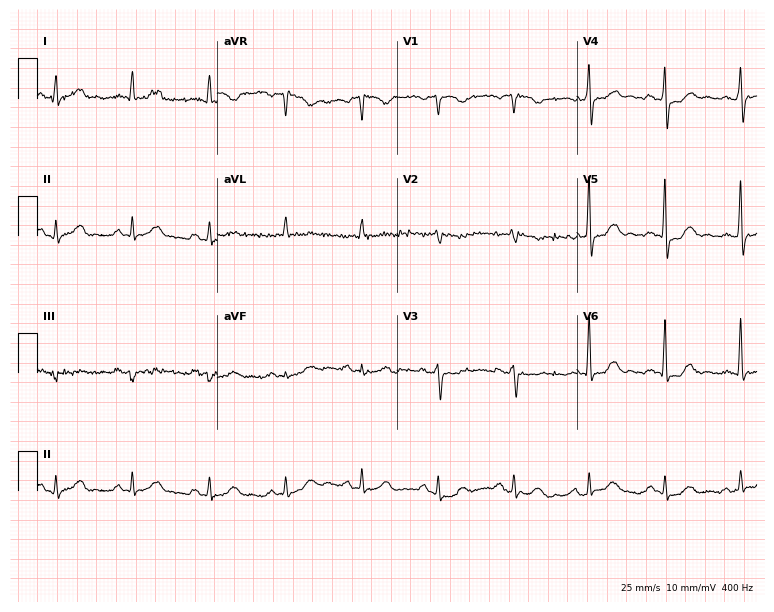
ECG — a 73-year-old woman. Labelled as a normal ECG.